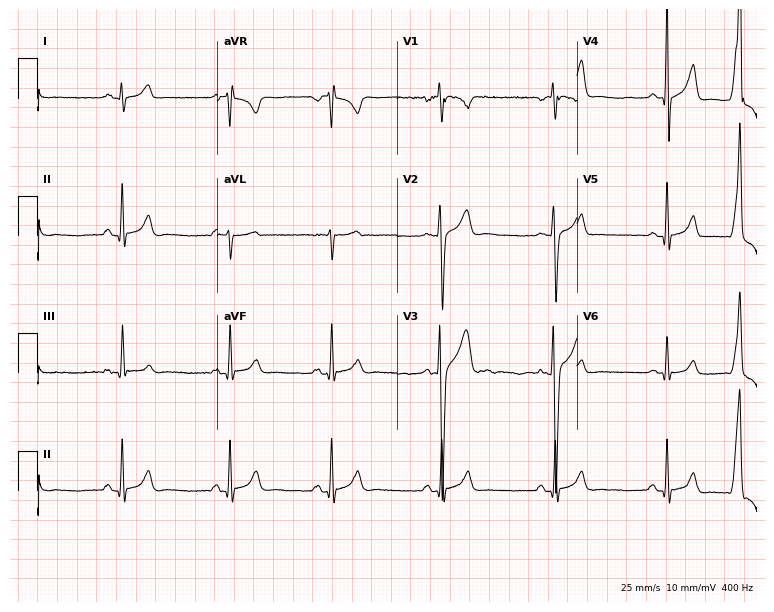
Electrocardiogram, a man, 18 years old. Overall reading on record: normal ECG.